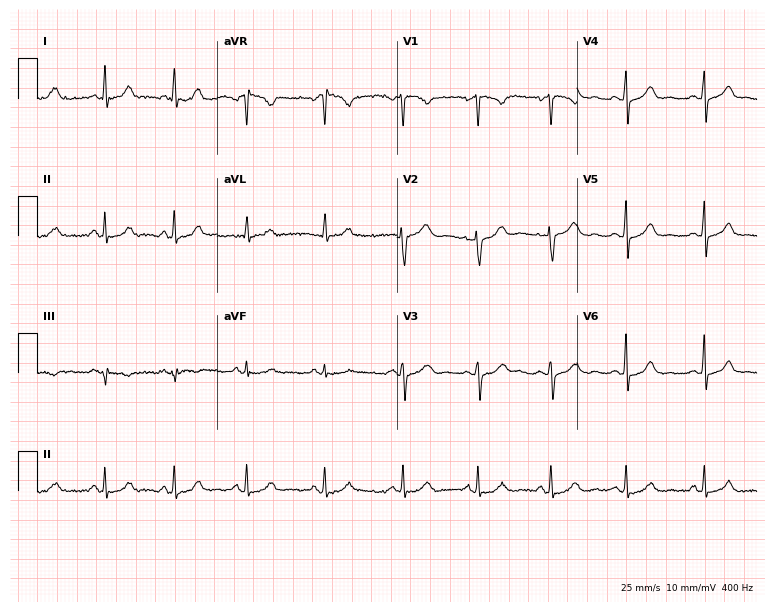
12-lead ECG from a 34-year-old woman. Recorded interpretation: within normal limits.